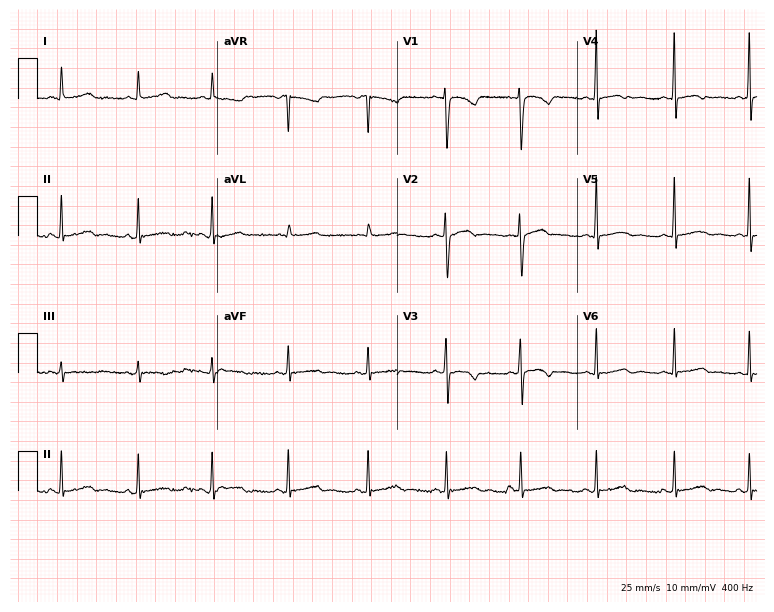
Electrocardiogram (7.3-second recording at 400 Hz), a woman, 30 years old. Overall reading on record: normal ECG.